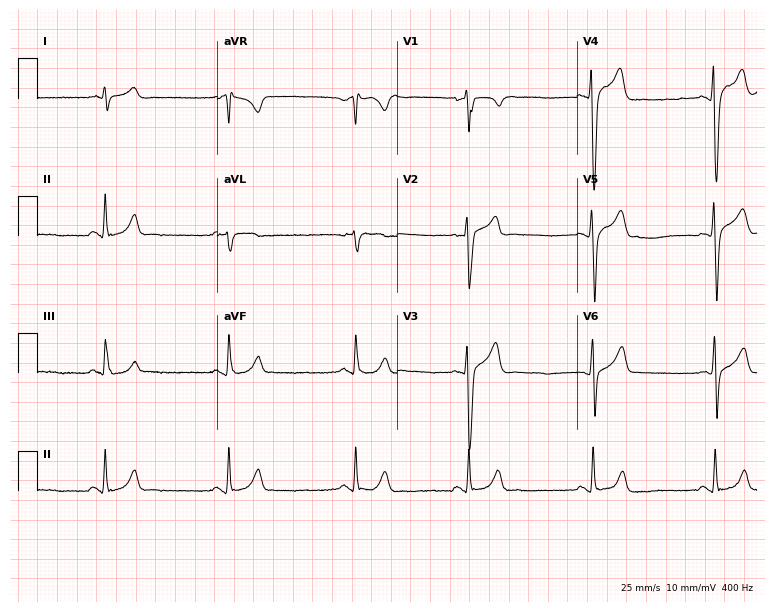
Resting 12-lead electrocardiogram (7.3-second recording at 400 Hz). Patient: a male, 24 years old. The tracing shows sinus bradycardia (a sinus rate of 50 beats per minute or less).